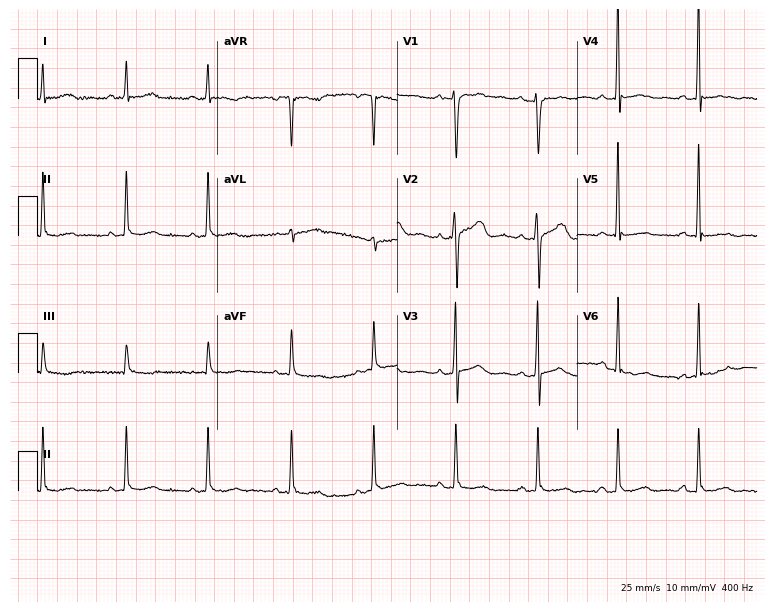
Standard 12-lead ECG recorded from a woman, 54 years old. None of these six findings is recorded: first-degree AV block, right bundle branch block, left bundle branch block, sinus bradycardia, atrial fibrillation, sinus tachycardia. Only these six findings were labelled.